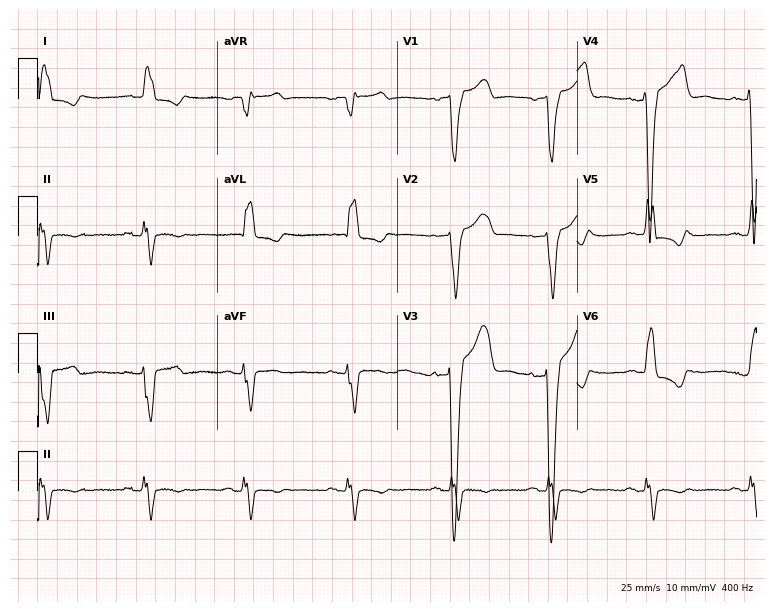
Standard 12-lead ECG recorded from a 69-year-old female patient (7.3-second recording at 400 Hz). The tracing shows left bundle branch block.